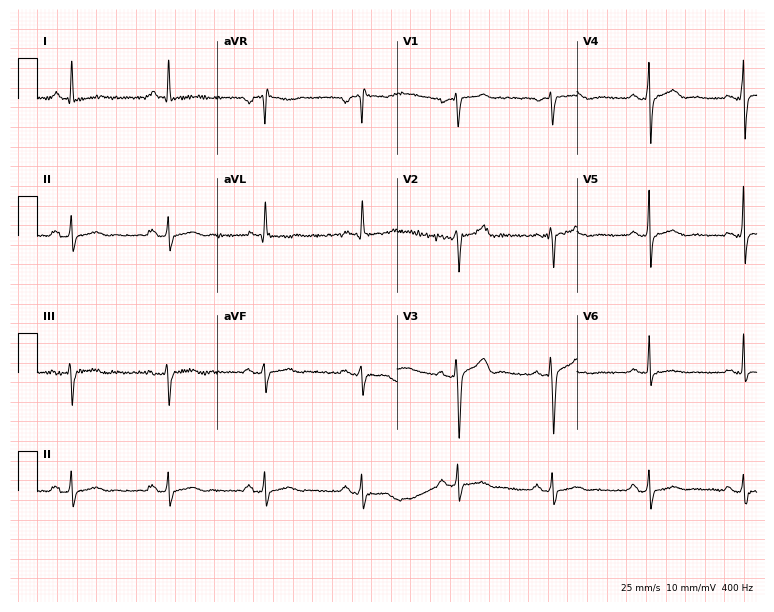
ECG — a man, 60 years old. Screened for six findings — first-degree AV block, right bundle branch block (RBBB), left bundle branch block (LBBB), sinus bradycardia, atrial fibrillation (AF), sinus tachycardia — none is recorded.